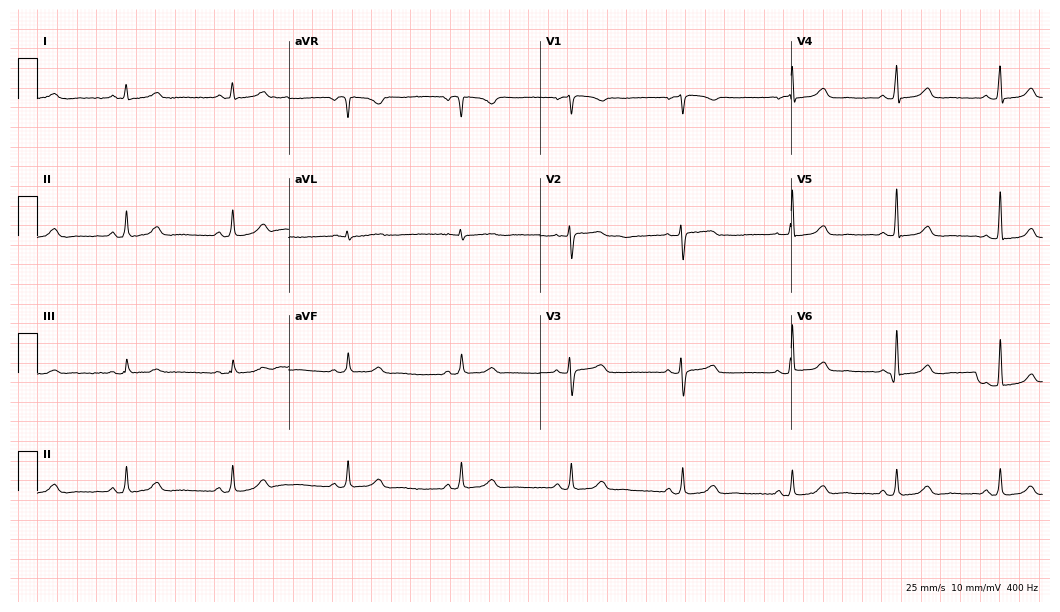
12-lead ECG (10.2-second recording at 400 Hz) from a 57-year-old woman. Labelled as a normal ECG.